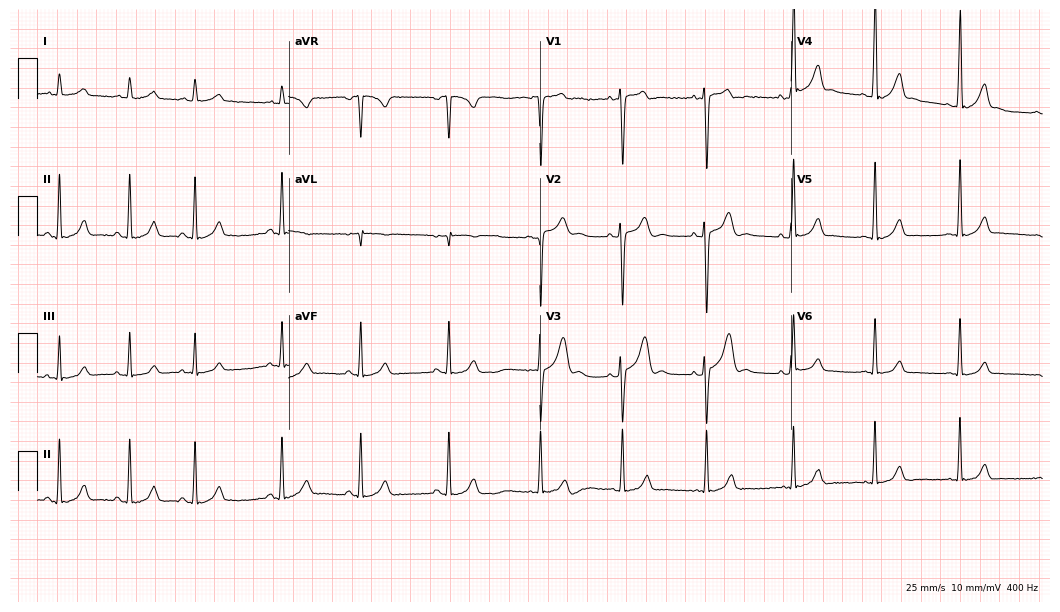
12-lead ECG (10.2-second recording at 400 Hz) from a man, 18 years old. Labelled as a normal ECG.